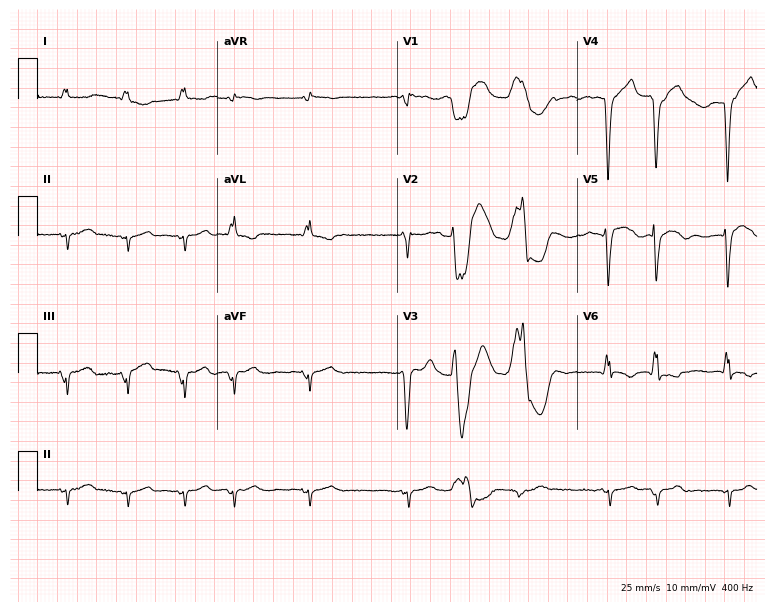
Resting 12-lead electrocardiogram (7.3-second recording at 400 Hz). Patient: a 59-year-old man. None of these six findings is recorded: first-degree AV block, right bundle branch block, left bundle branch block, sinus bradycardia, atrial fibrillation, sinus tachycardia. Other findings, if any, are not listed.